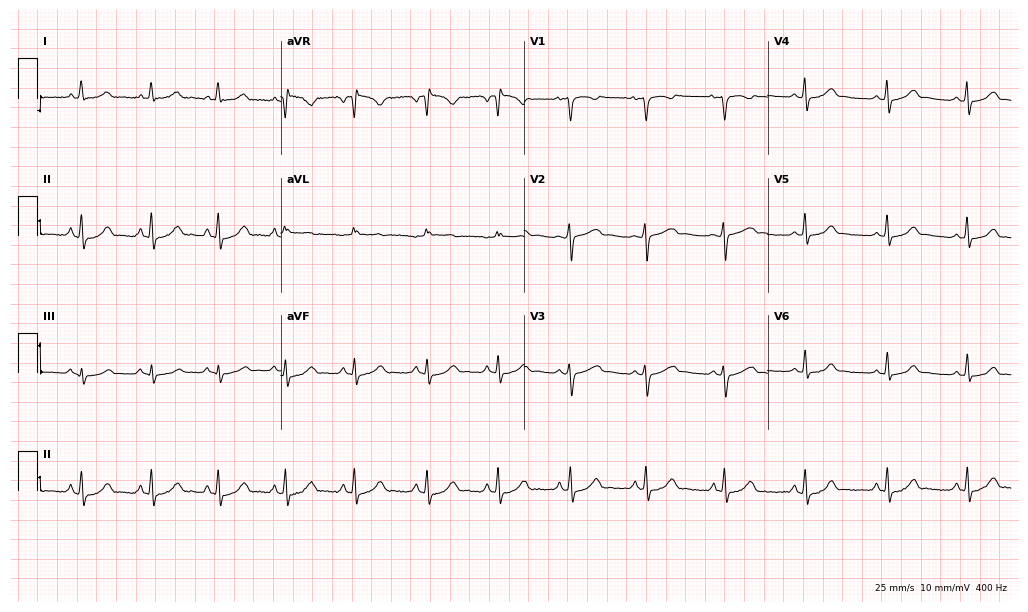
ECG (9.9-second recording at 400 Hz) — a 20-year-old female patient. Labelled as a normal ECG.